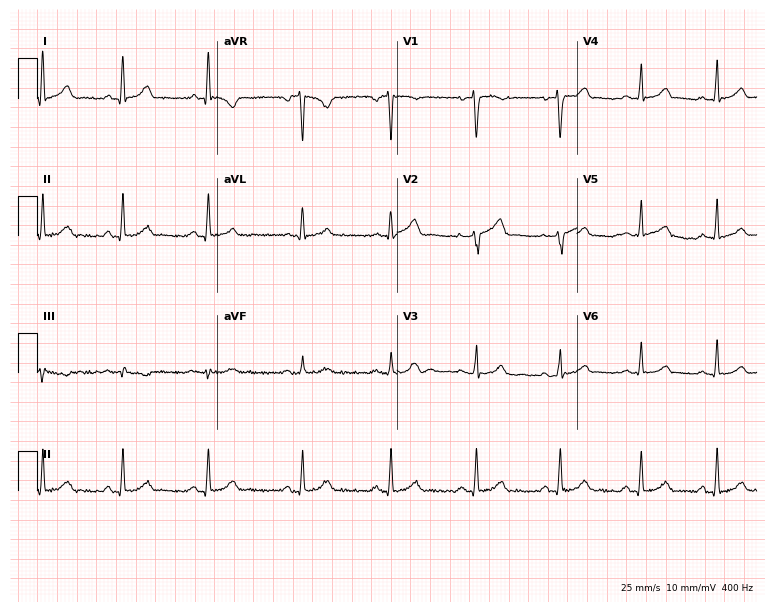
12-lead ECG (7.3-second recording at 400 Hz) from a 37-year-old female. Labelled as a normal ECG.